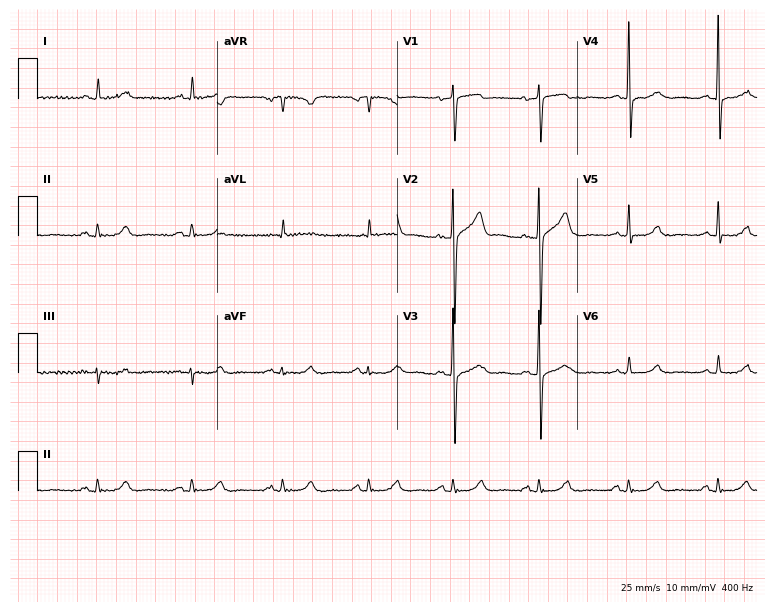
12-lead ECG from a man, 57 years old (7.3-second recording at 400 Hz). Recorded interpretation: within normal limits.